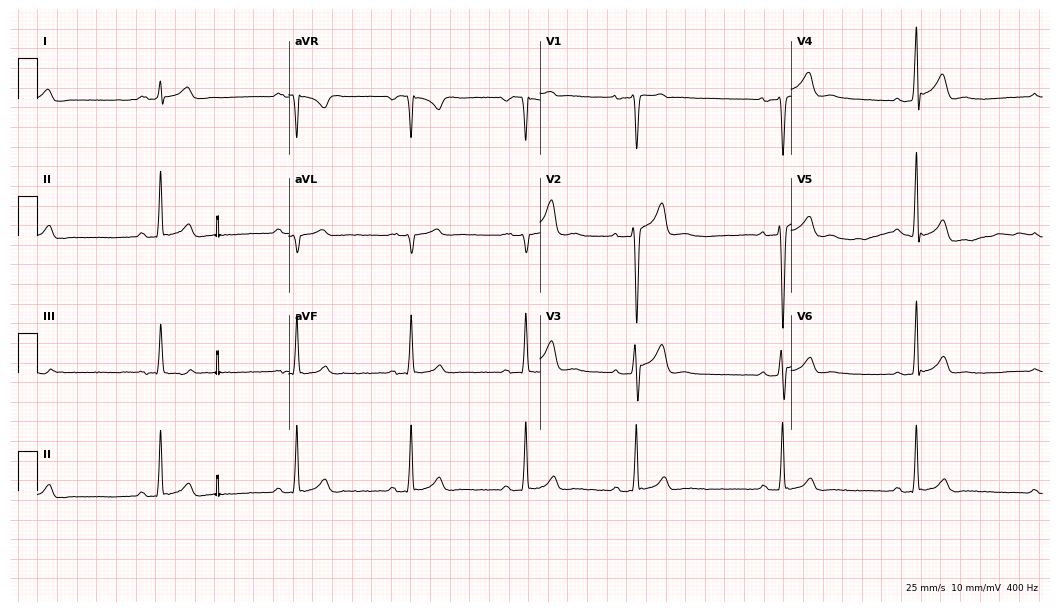
Standard 12-lead ECG recorded from a man, 30 years old (10.2-second recording at 400 Hz). Read as a normal ECG.